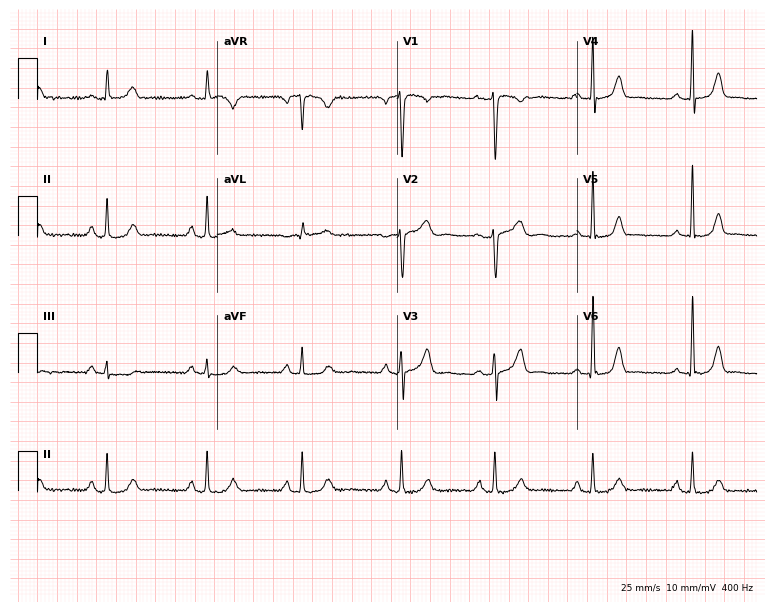
Electrocardiogram (7.3-second recording at 400 Hz), a 44-year-old female. Of the six screened findings (first-degree AV block, right bundle branch block (RBBB), left bundle branch block (LBBB), sinus bradycardia, atrial fibrillation (AF), sinus tachycardia), none is recorded. Findings outside these six are not listed.